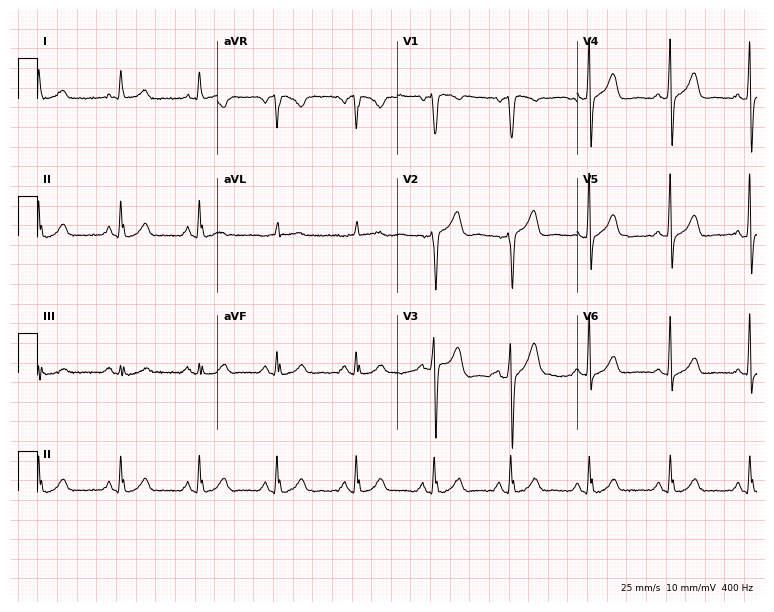
Standard 12-lead ECG recorded from a female, 57 years old (7.3-second recording at 400 Hz). Read as a normal ECG.